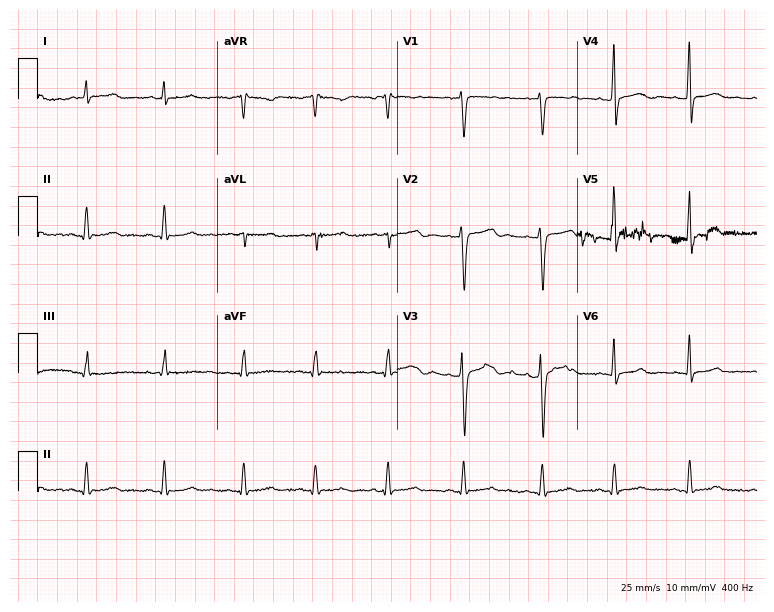
Resting 12-lead electrocardiogram (7.3-second recording at 400 Hz). Patient: a 19-year-old female. None of these six findings is recorded: first-degree AV block, right bundle branch block, left bundle branch block, sinus bradycardia, atrial fibrillation, sinus tachycardia.